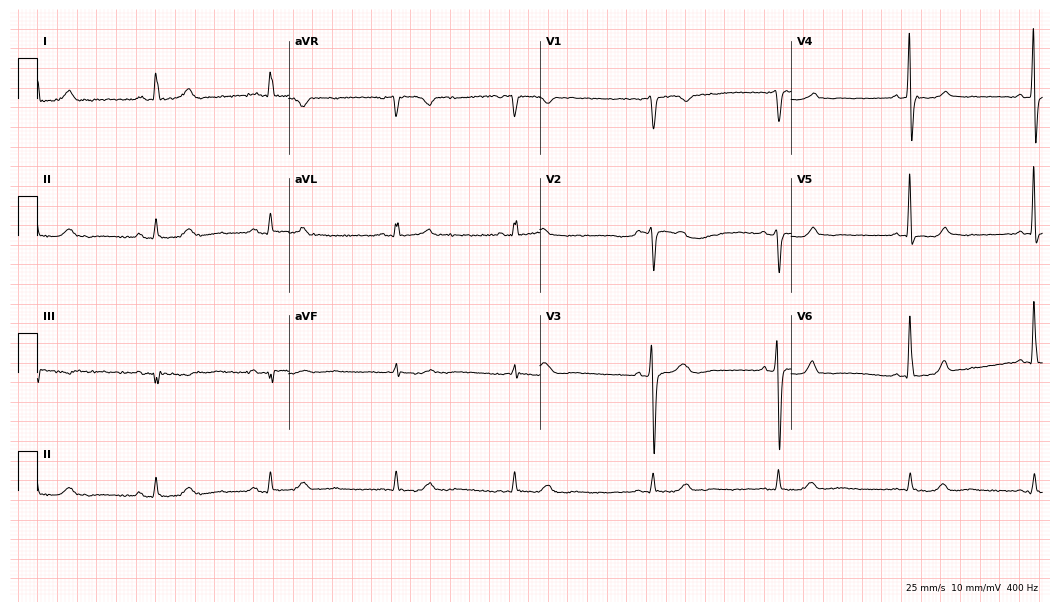
ECG (10.2-second recording at 400 Hz) — a female, 61 years old. Findings include sinus bradycardia (a sinus rate of 50 beats per minute or less).